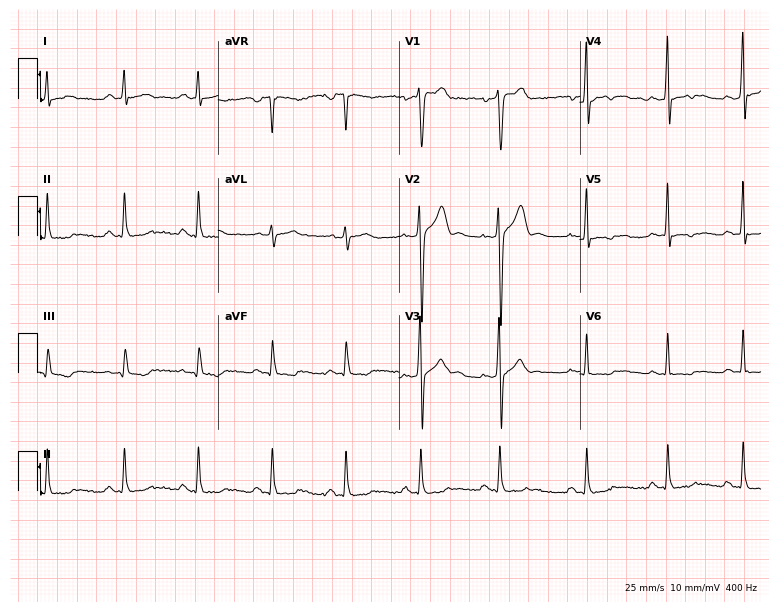
ECG (7.4-second recording at 400 Hz) — a 47-year-old male. Screened for six findings — first-degree AV block, right bundle branch block (RBBB), left bundle branch block (LBBB), sinus bradycardia, atrial fibrillation (AF), sinus tachycardia — none is recorded.